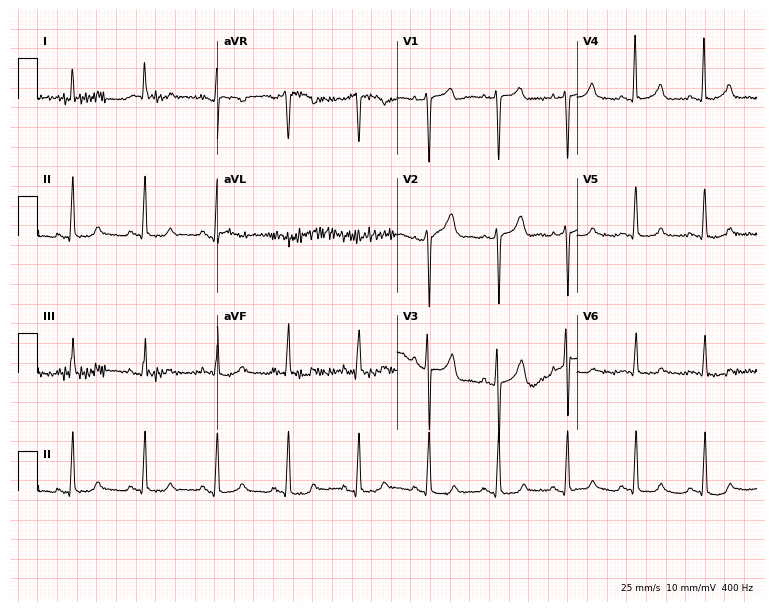
Electrocardiogram, a male, 64 years old. Of the six screened findings (first-degree AV block, right bundle branch block (RBBB), left bundle branch block (LBBB), sinus bradycardia, atrial fibrillation (AF), sinus tachycardia), none is recorded.